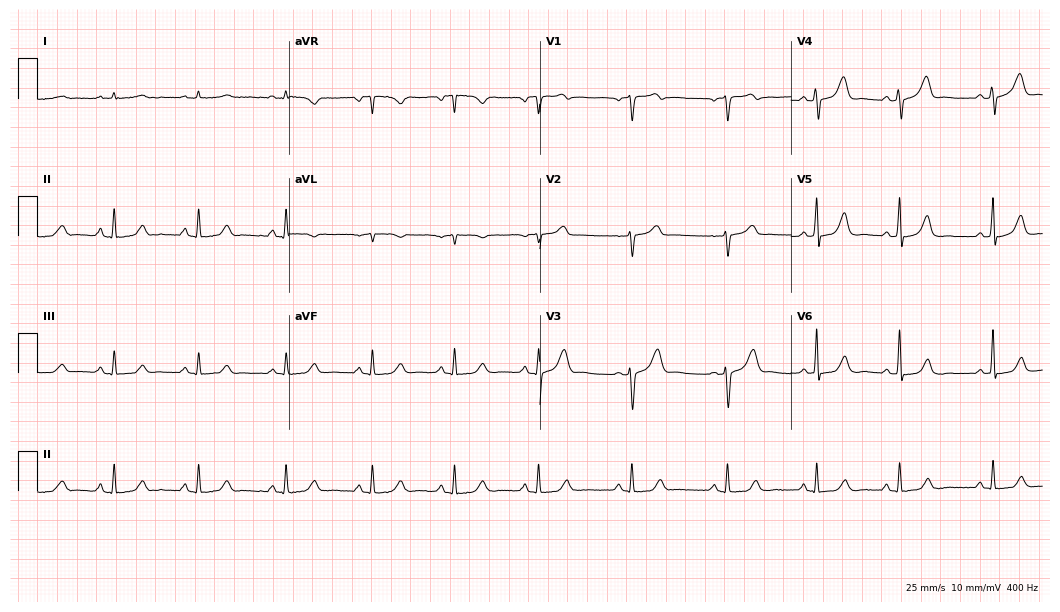
ECG — a 56-year-old woman. Labelled as a normal ECG.